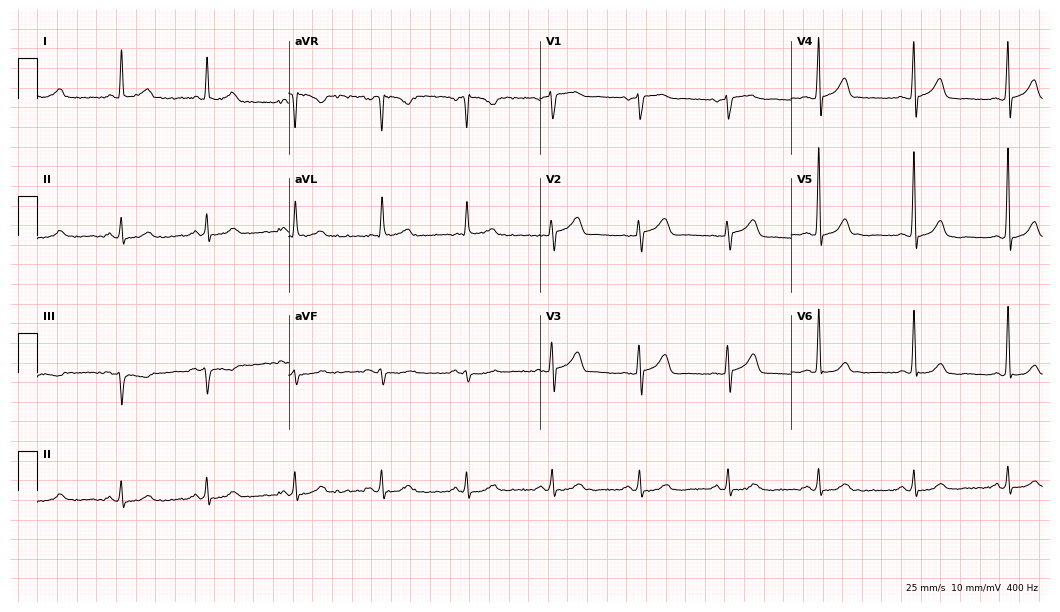
12-lead ECG from a 74-year-old female patient. Screened for six findings — first-degree AV block, right bundle branch block (RBBB), left bundle branch block (LBBB), sinus bradycardia, atrial fibrillation (AF), sinus tachycardia — none is recorded.